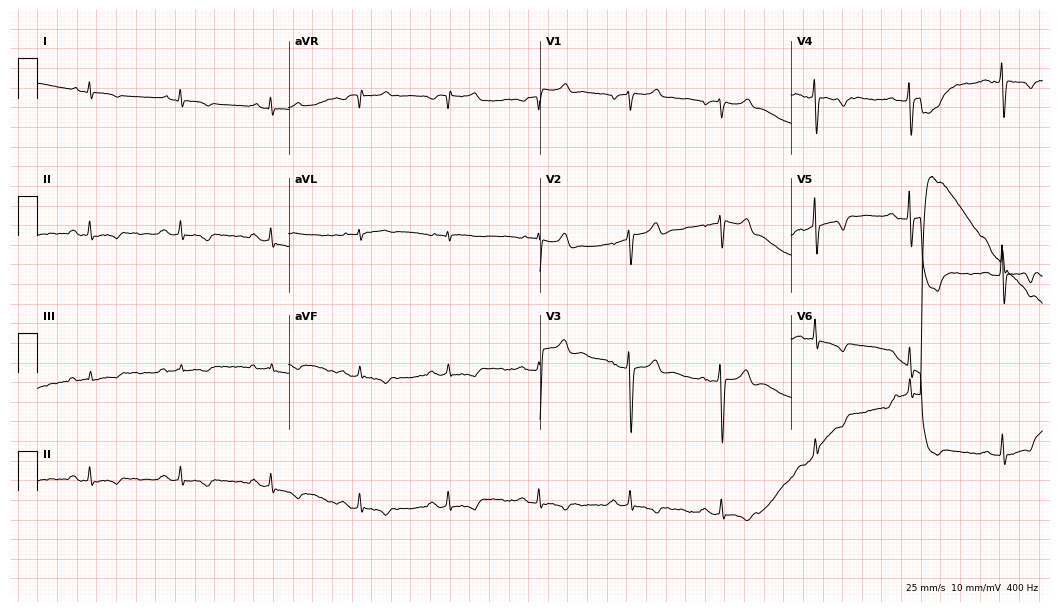
ECG — a 51-year-old male patient. Screened for six findings — first-degree AV block, right bundle branch block, left bundle branch block, sinus bradycardia, atrial fibrillation, sinus tachycardia — none is recorded.